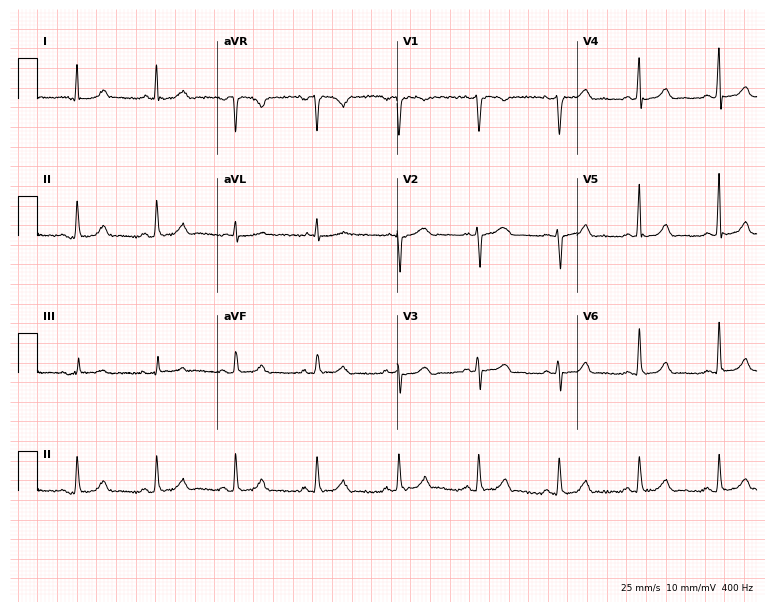
ECG — a female patient, 47 years old. Labelled as a normal ECG.